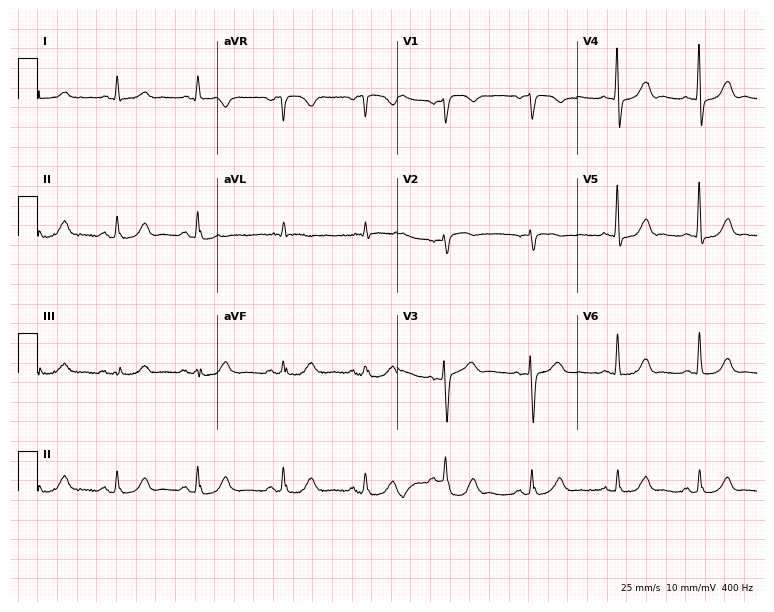
Resting 12-lead electrocardiogram. Patient: a 67-year-old female. Read as a normal ECG.